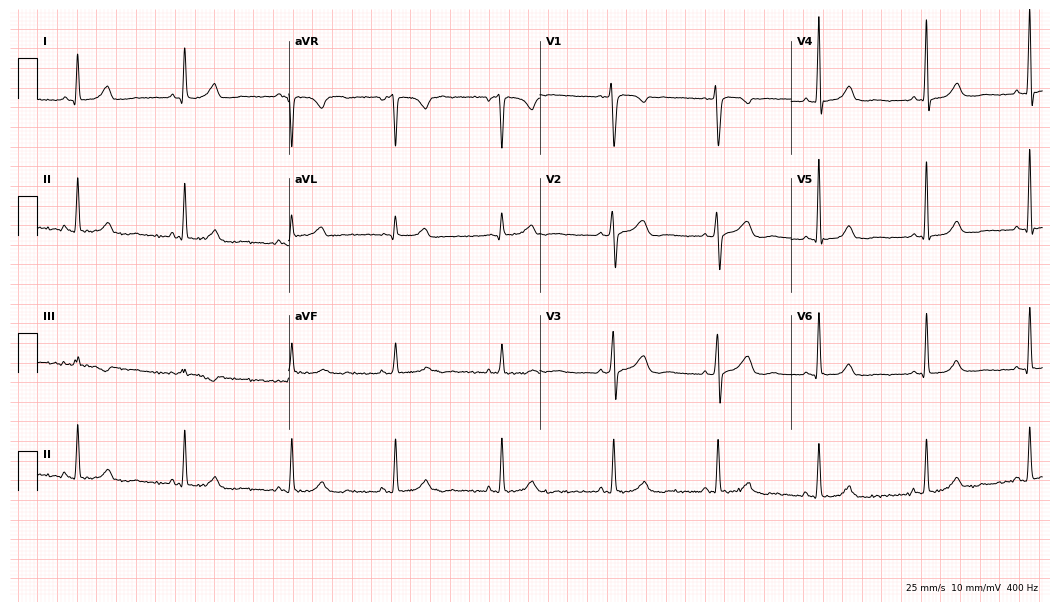
Resting 12-lead electrocardiogram (10.2-second recording at 400 Hz). Patient: a female, 49 years old. Read as a normal ECG.